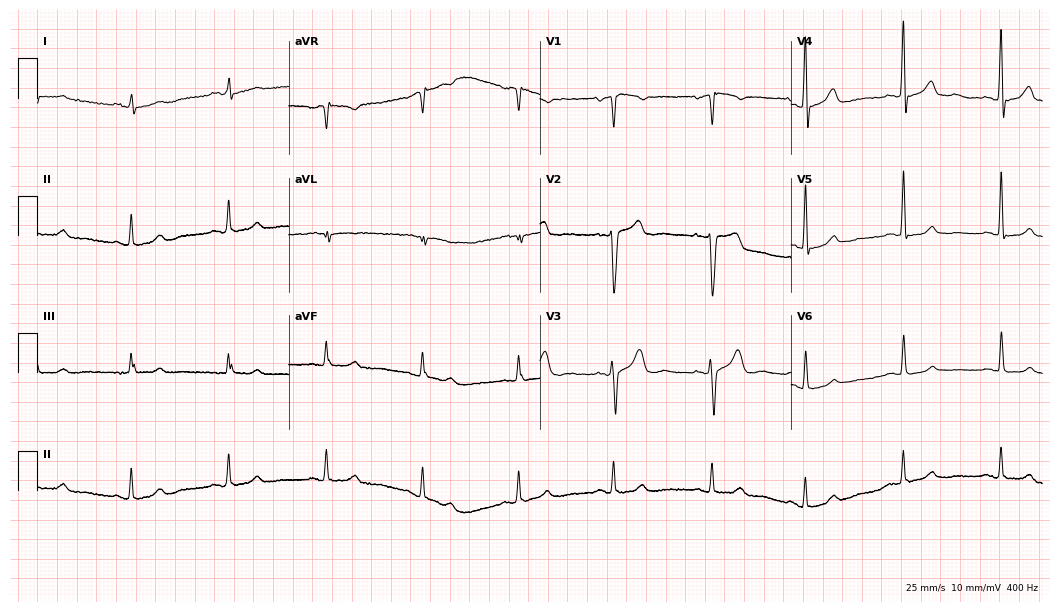
Standard 12-lead ECG recorded from a male, 72 years old. Read as a normal ECG.